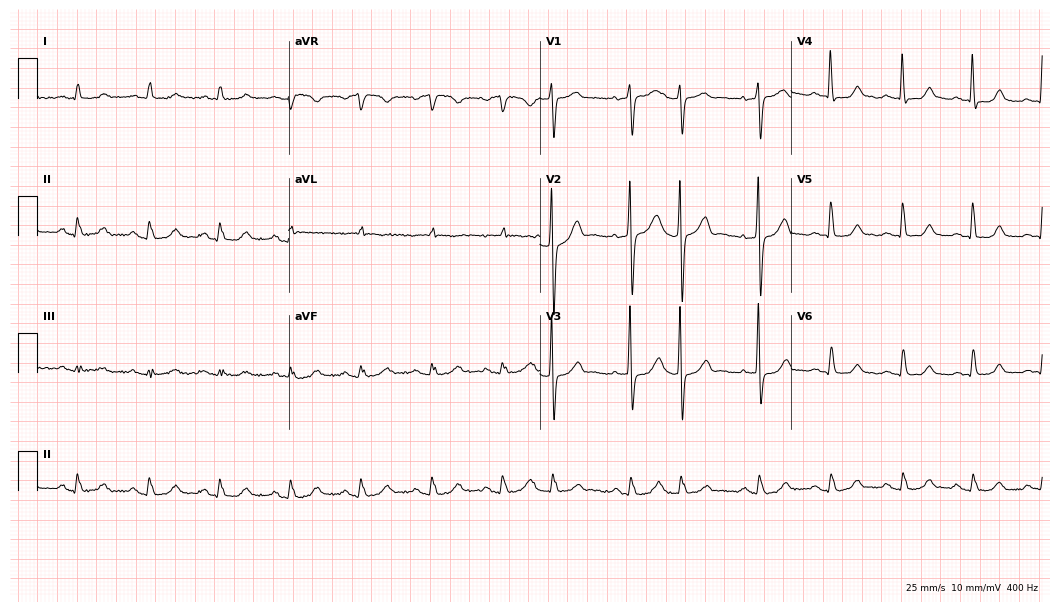
Standard 12-lead ECG recorded from an 82-year-old female. None of these six findings is recorded: first-degree AV block, right bundle branch block, left bundle branch block, sinus bradycardia, atrial fibrillation, sinus tachycardia. Only these six findings were labelled.